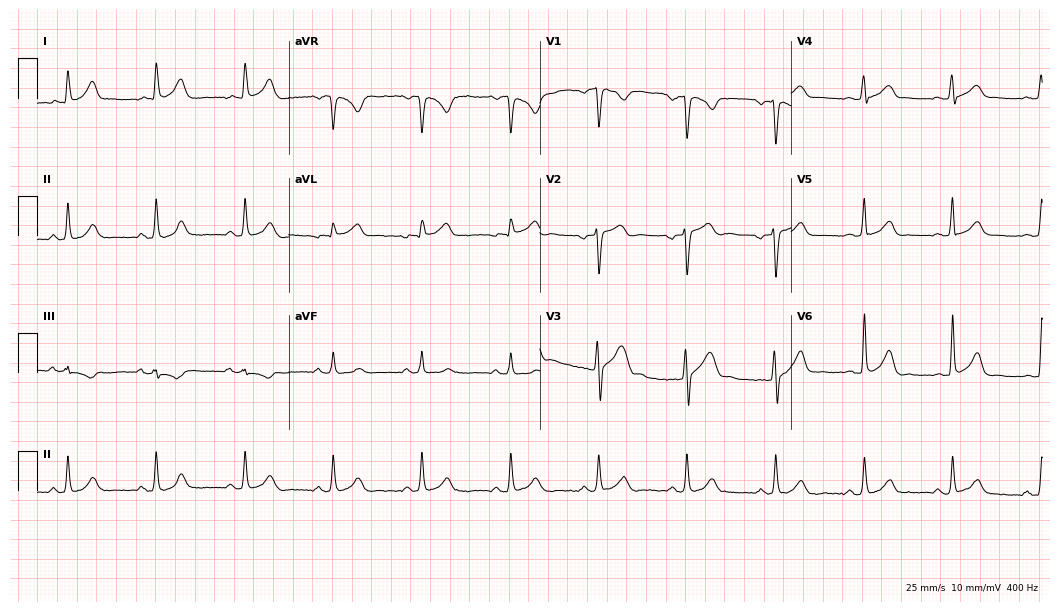
ECG (10.2-second recording at 400 Hz) — a man, 38 years old. Screened for six findings — first-degree AV block, right bundle branch block, left bundle branch block, sinus bradycardia, atrial fibrillation, sinus tachycardia — none is recorded.